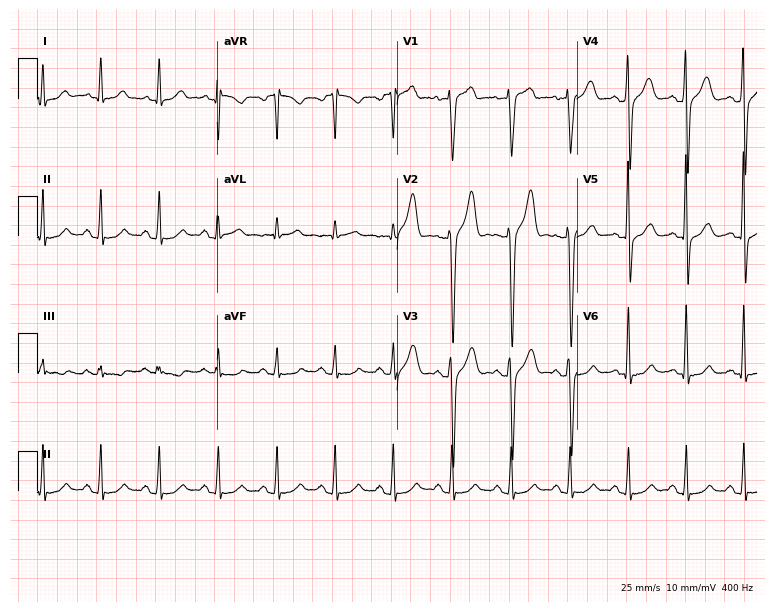
ECG — a 44-year-old male patient. Labelled as a normal ECG.